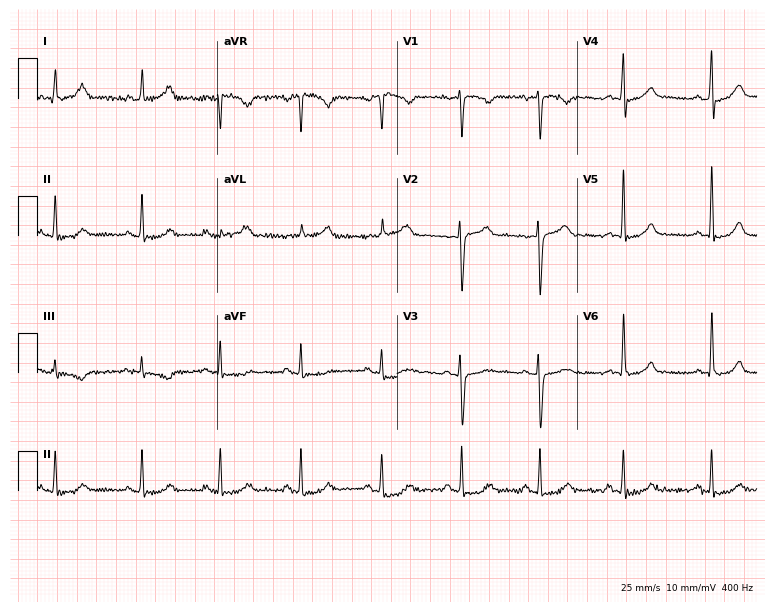
Electrocardiogram (7.3-second recording at 400 Hz), a 41-year-old woman. Overall reading on record: normal ECG.